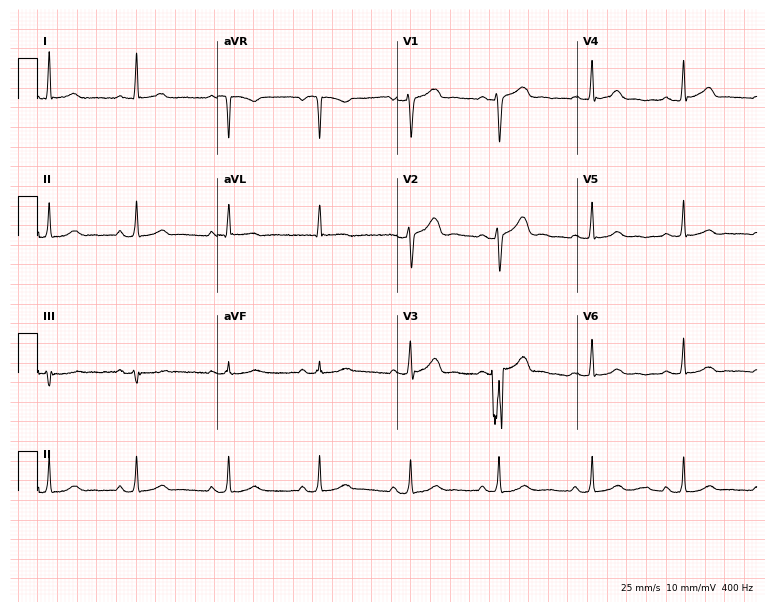
Electrocardiogram (7.3-second recording at 400 Hz), a 69-year-old female patient. Overall reading on record: normal ECG.